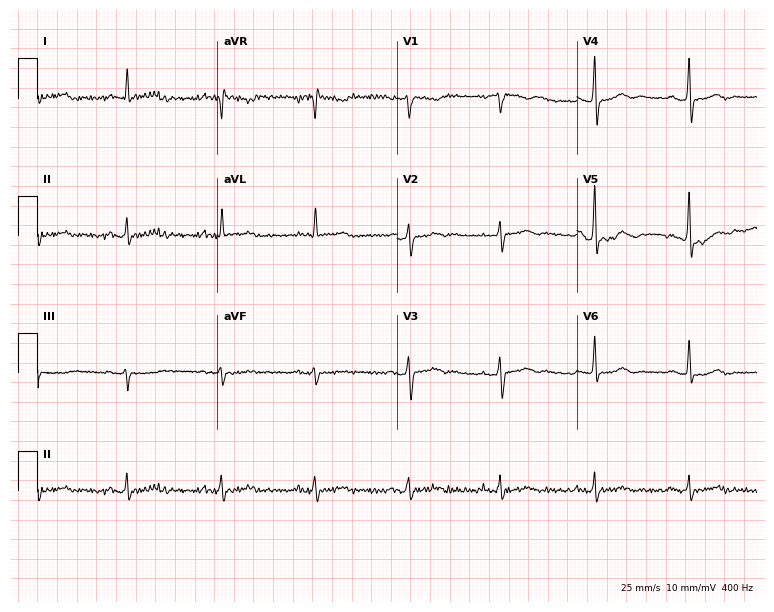
ECG (7.3-second recording at 400 Hz) — a 58-year-old male patient. Screened for six findings — first-degree AV block, right bundle branch block (RBBB), left bundle branch block (LBBB), sinus bradycardia, atrial fibrillation (AF), sinus tachycardia — none is recorded.